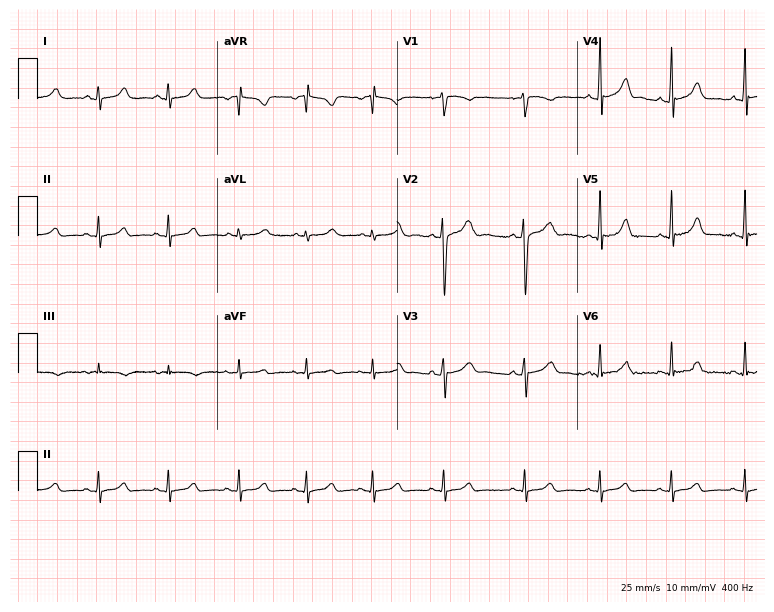
Standard 12-lead ECG recorded from a 17-year-old woman. Read as a normal ECG.